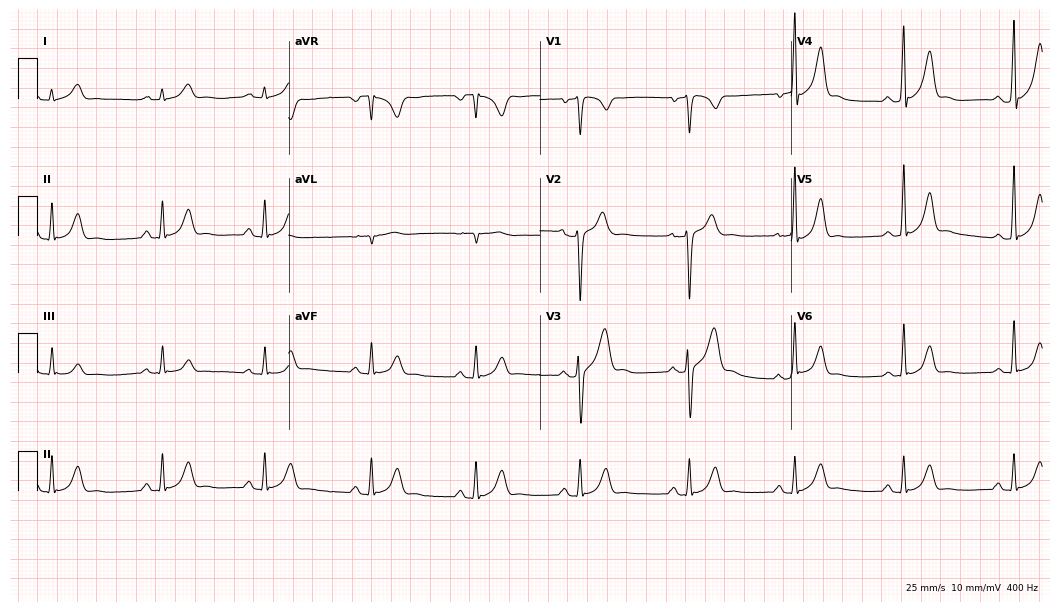
Standard 12-lead ECG recorded from a male, 35 years old (10.2-second recording at 400 Hz). Read as a normal ECG.